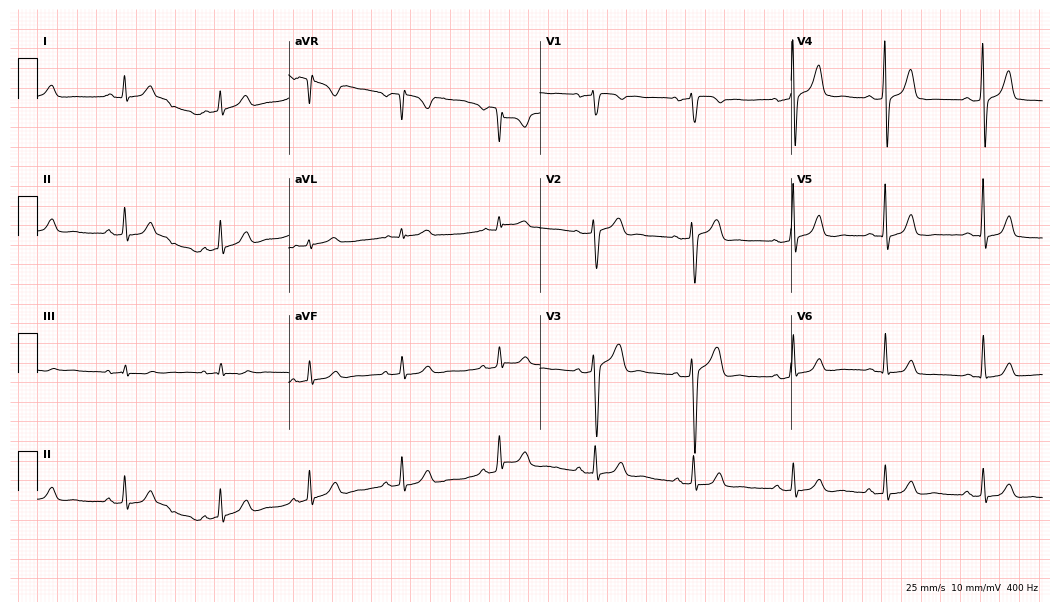
12-lead ECG from a 35-year-old male. Labelled as a normal ECG.